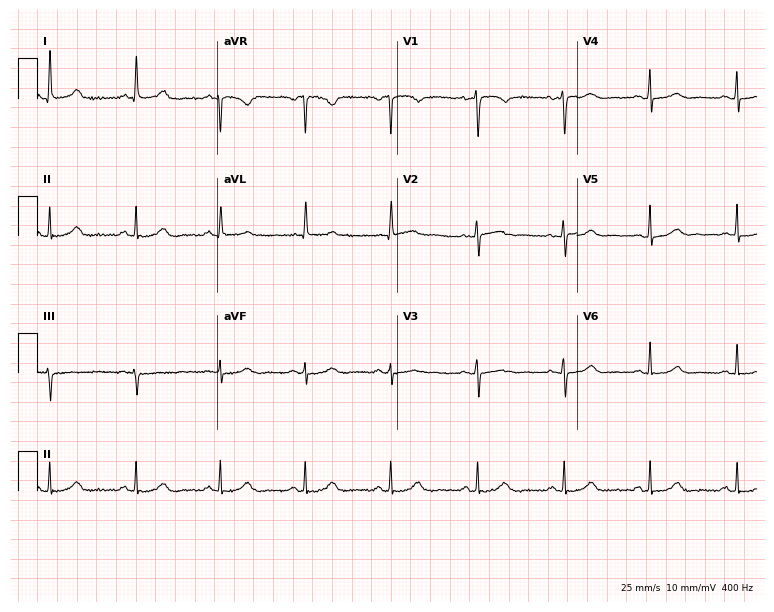
Electrocardiogram, a female patient, 39 years old. Overall reading on record: normal ECG.